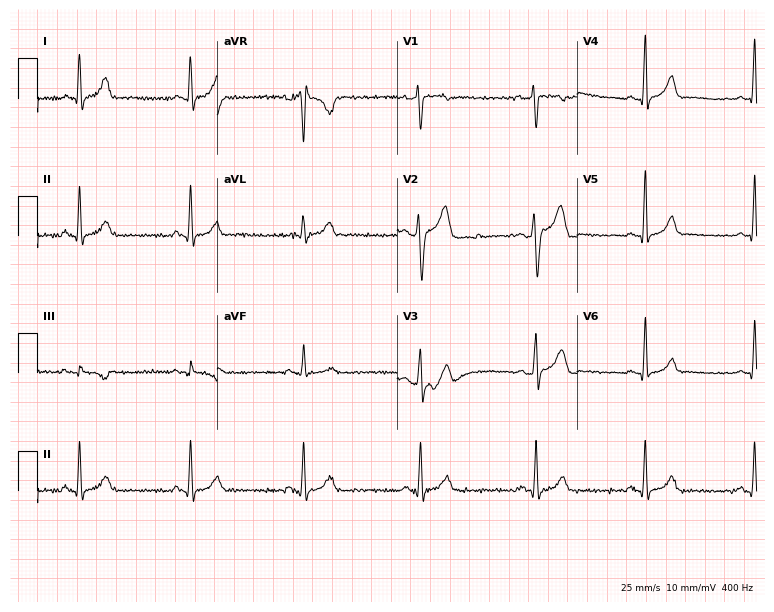
Resting 12-lead electrocardiogram. Patient: a male, 37 years old. Read as a normal ECG.